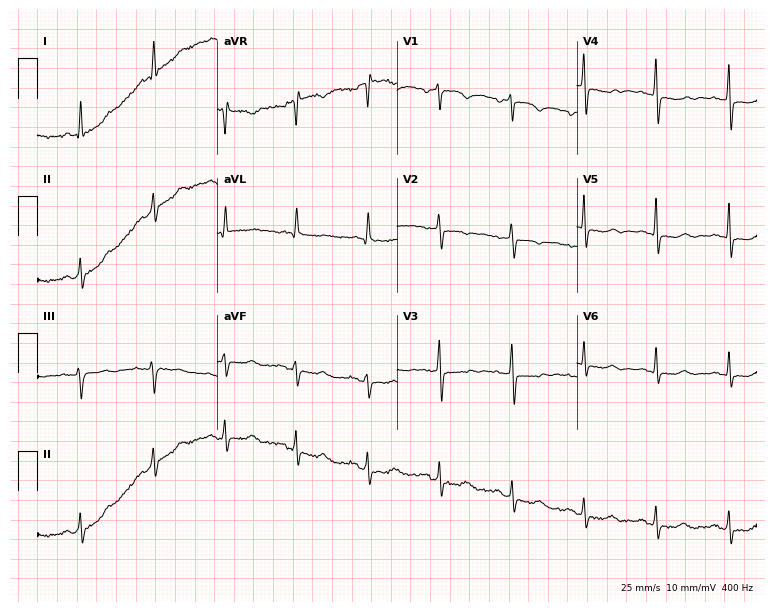
Standard 12-lead ECG recorded from a 64-year-old woman. None of these six findings is recorded: first-degree AV block, right bundle branch block, left bundle branch block, sinus bradycardia, atrial fibrillation, sinus tachycardia. Other findings, if any, are not listed.